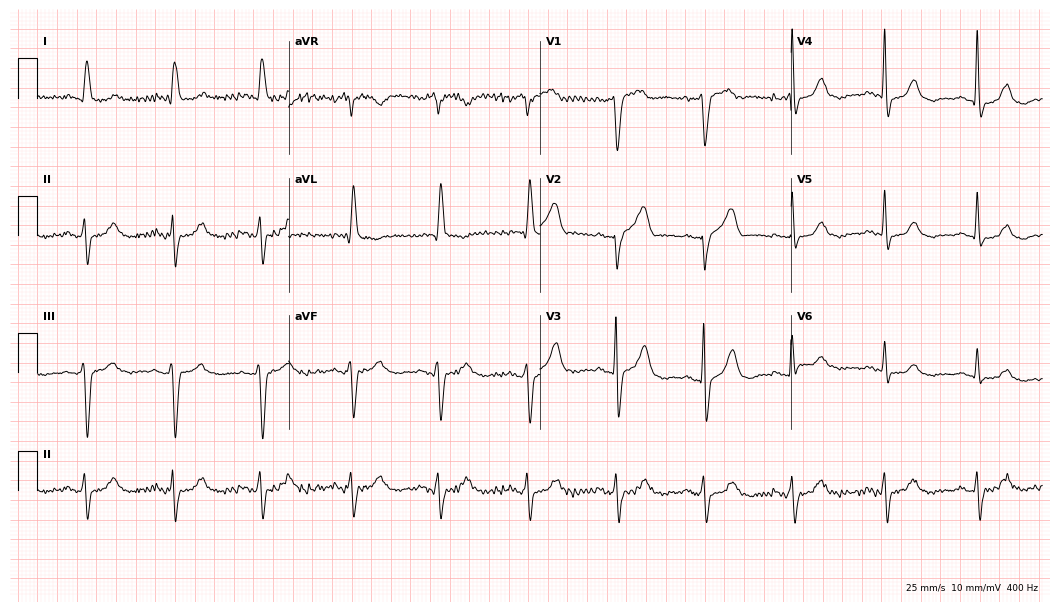
12-lead ECG (10.2-second recording at 400 Hz) from a male patient, 78 years old. Screened for six findings — first-degree AV block, right bundle branch block (RBBB), left bundle branch block (LBBB), sinus bradycardia, atrial fibrillation (AF), sinus tachycardia — none is recorded. Findings outside these six are not listed.